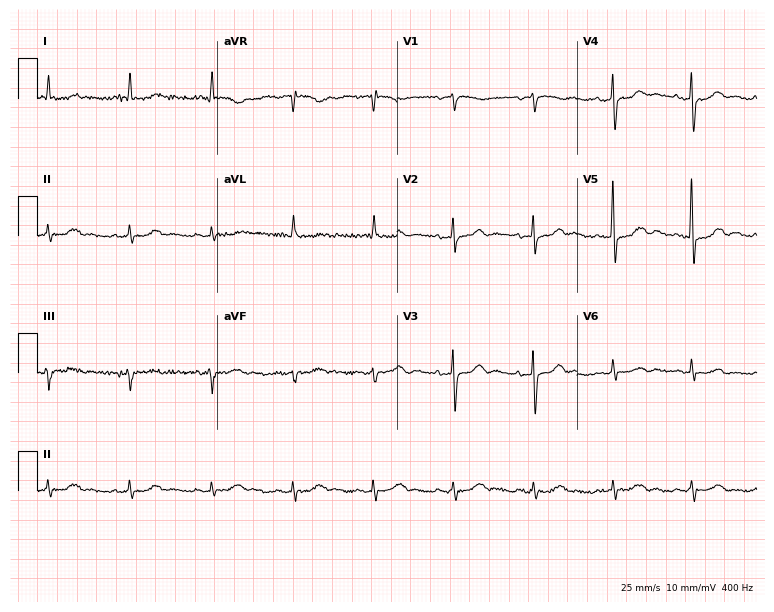
12-lead ECG from a male, 83 years old (7.3-second recording at 400 Hz). No first-degree AV block, right bundle branch block (RBBB), left bundle branch block (LBBB), sinus bradycardia, atrial fibrillation (AF) or sinus tachycardia recorded for this tracing.